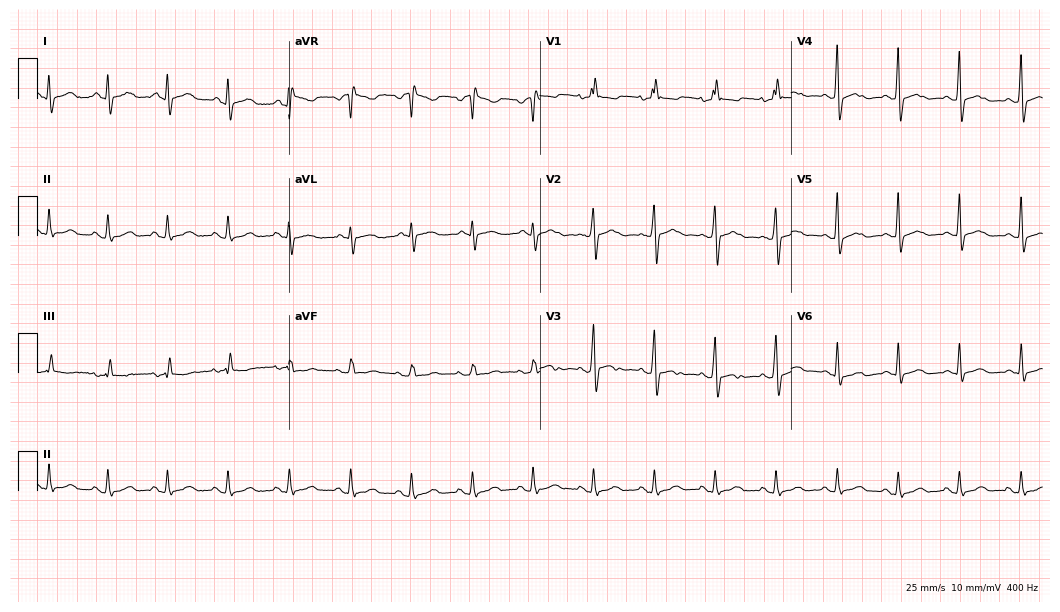
Standard 12-lead ECG recorded from a 56-year-old male patient. None of these six findings is recorded: first-degree AV block, right bundle branch block, left bundle branch block, sinus bradycardia, atrial fibrillation, sinus tachycardia. Findings outside these six are not listed.